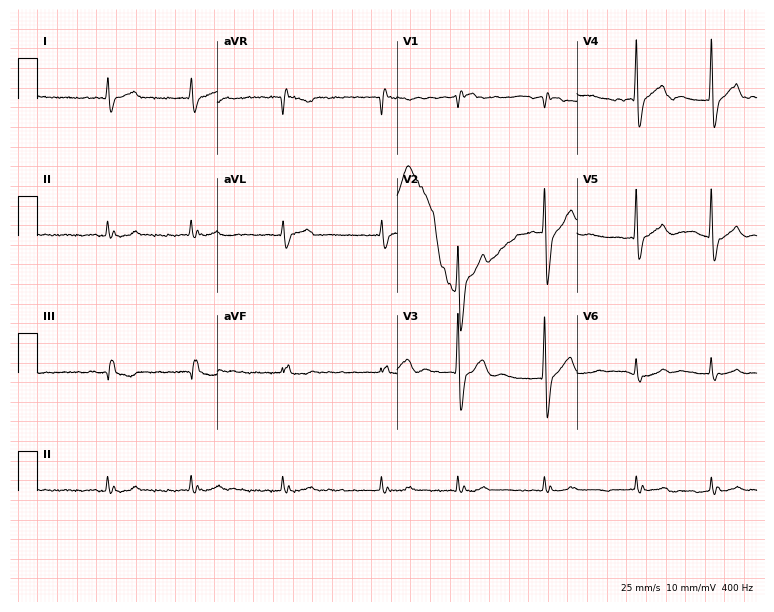
Electrocardiogram (7.3-second recording at 400 Hz), a male, 85 years old. Of the six screened findings (first-degree AV block, right bundle branch block (RBBB), left bundle branch block (LBBB), sinus bradycardia, atrial fibrillation (AF), sinus tachycardia), none is recorded.